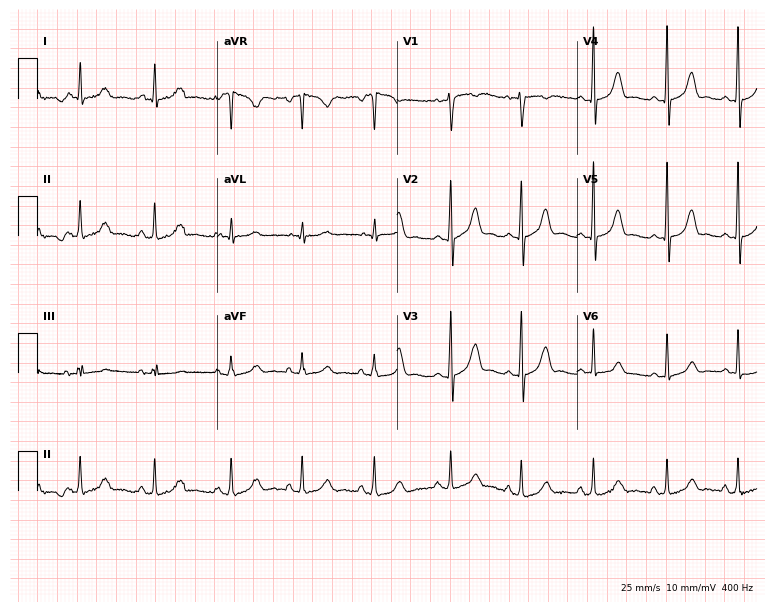
Resting 12-lead electrocardiogram (7.3-second recording at 400 Hz). Patient: a 27-year-old female. Read as a normal ECG.